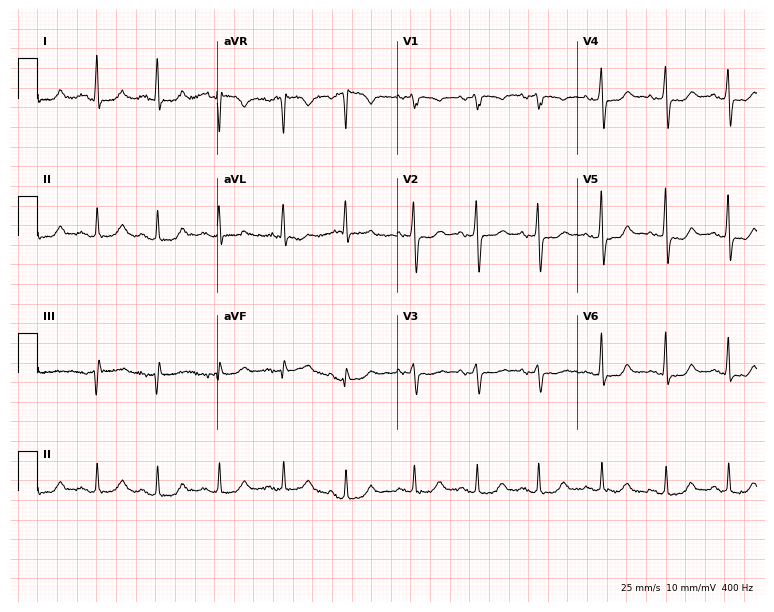
12-lead ECG (7.3-second recording at 400 Hz) from a 67-year-old female patient. Screened for six findings — first-degree AV block, right bundle branch block, left bundle branch block, sinus bradycardia, atrial fibrillation, sinus tachycardia — none is recorded.